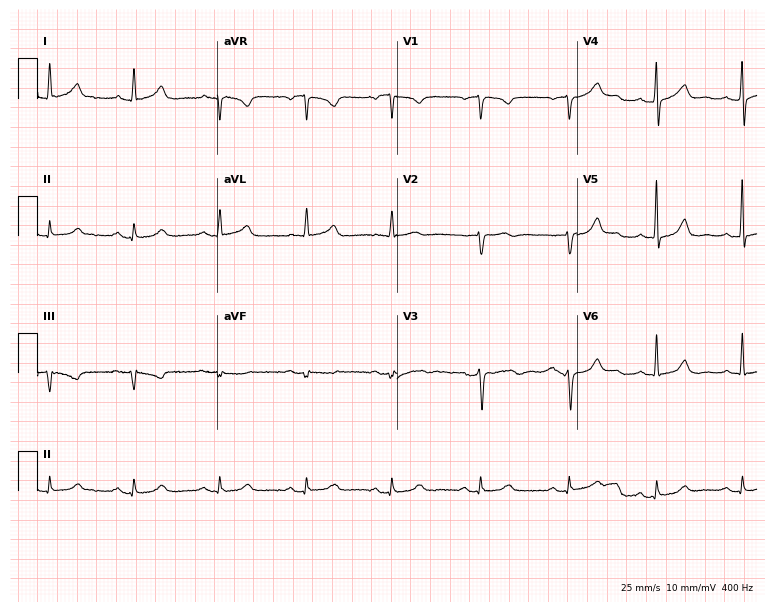
Electrocardiogram, a 60-year-old female patient. Overall reading on record: normal ECG.